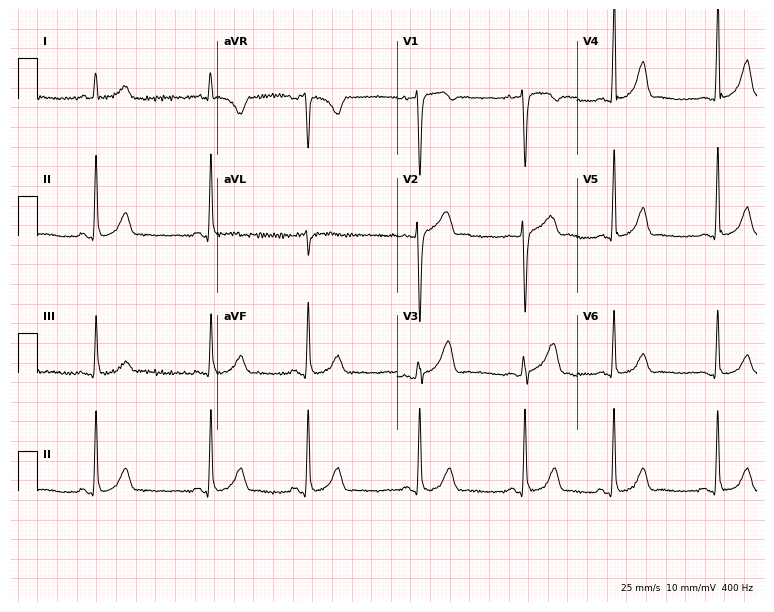
Electrocardiogram, a 26-year-old man. Of the six screened findings (first-degree AV block, right bundle branch block (RBBB), left bundle branch block (LBBB), sinus bradycardia, atrial fibrillation (AF), sinus tachycardia), none is recorded. Only these six findings were labelled.